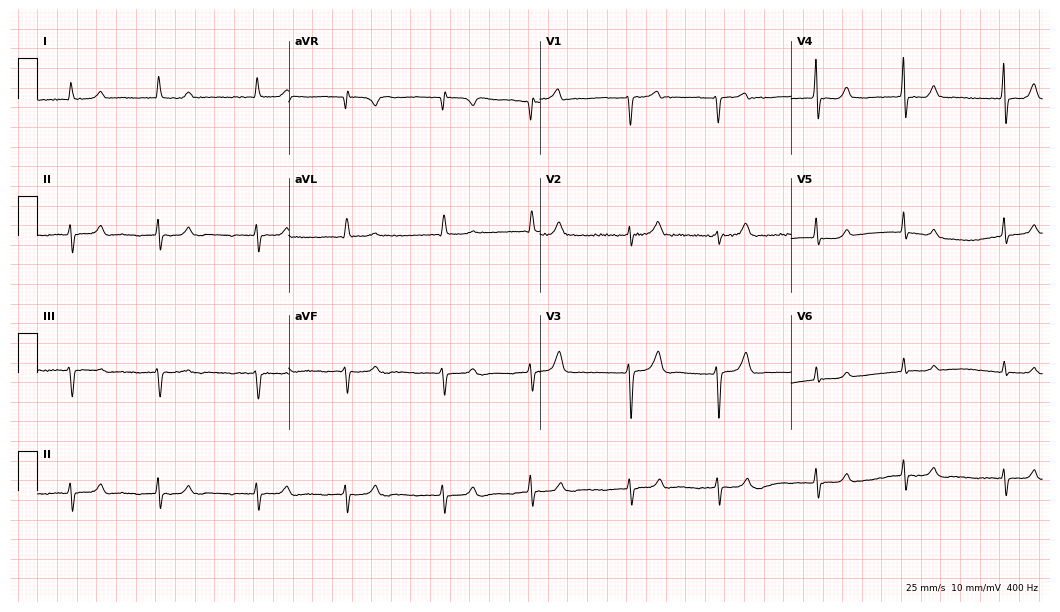
12-lead ECG from a 71-year-old woman. Findings include atrial fibrillation.